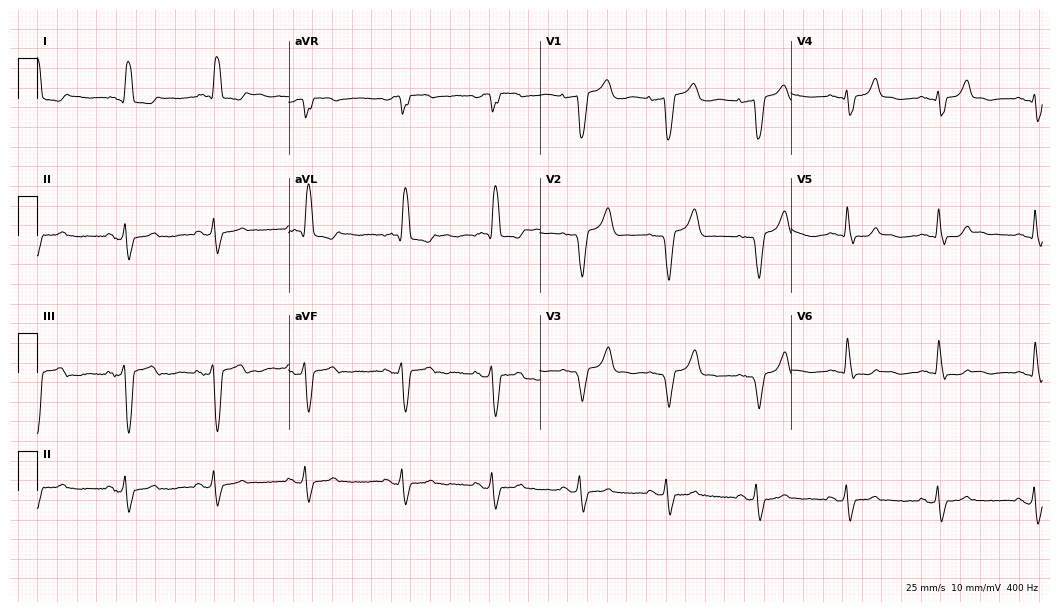
Resting 12-lead electrocardiogram. Patient: an 84-year-old female. The tracing shows left bundle branch block (LBBB).